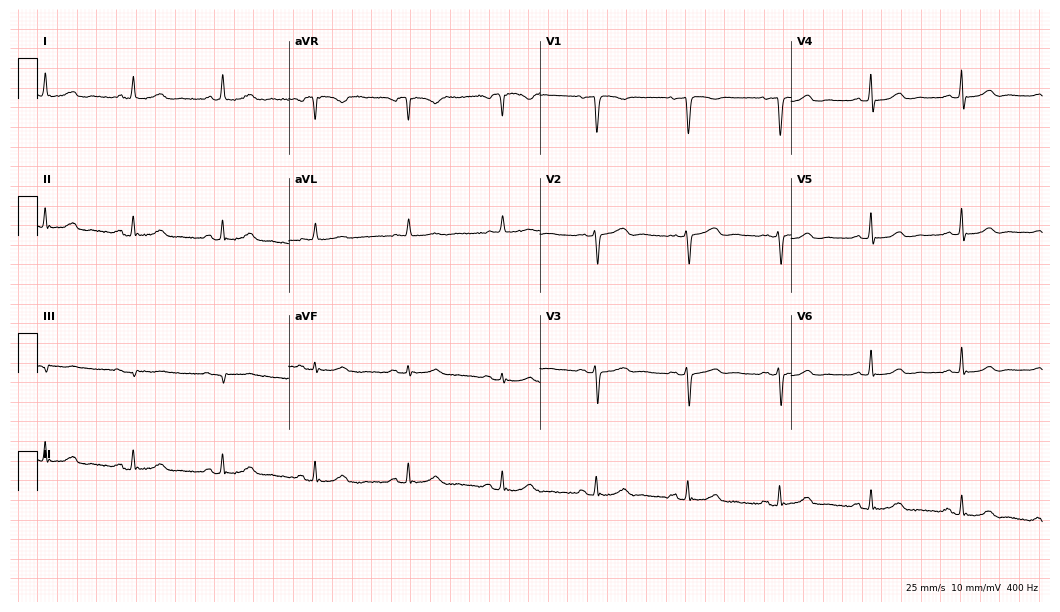
Standard 12-lead ECG recorded from a female patient, 50 years old (10.2-second recording at 400 Hz). Read as a normal ECG.